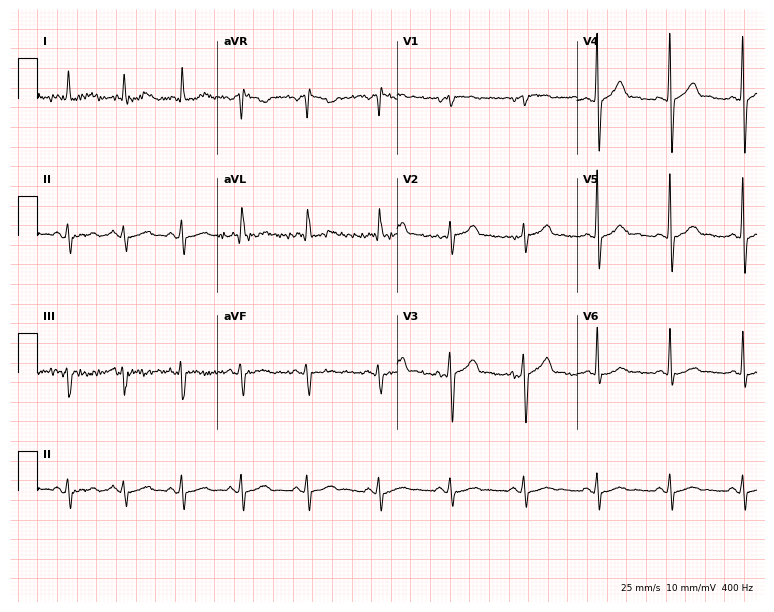
ECG — a male, 59 years old. Labelled as a normal ECG.